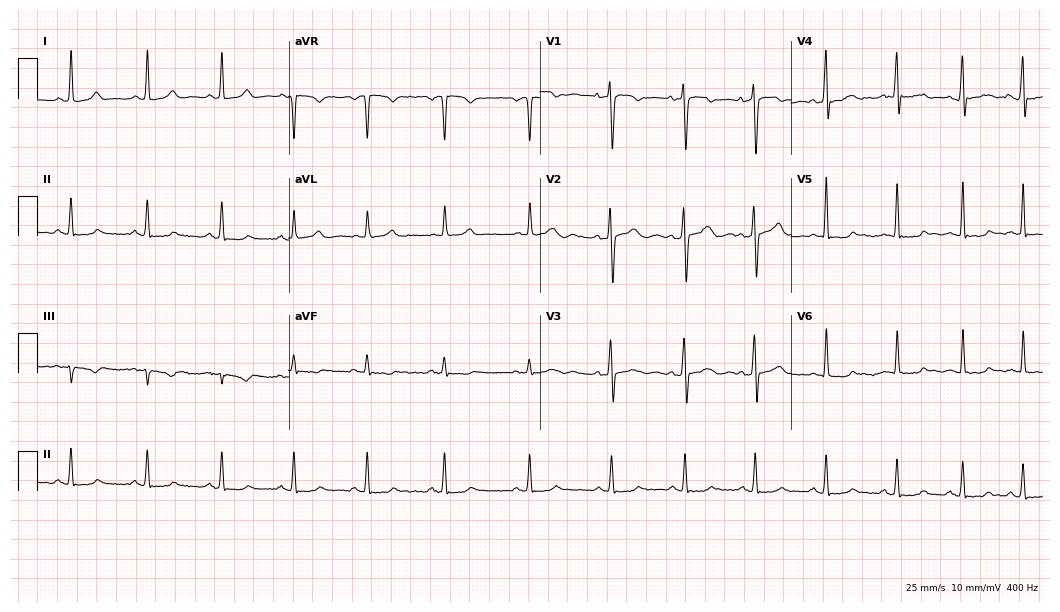
Resting 12-lead electrocardiogram (10.2-second recording at 400 Hz). Patient: a male, 25 years old. None of these six findings is recorded: first-degree AV block, right bundle branch block, left bundle branch block, sinus bradycardia, atrial fibrillation, sinus tachycardia.